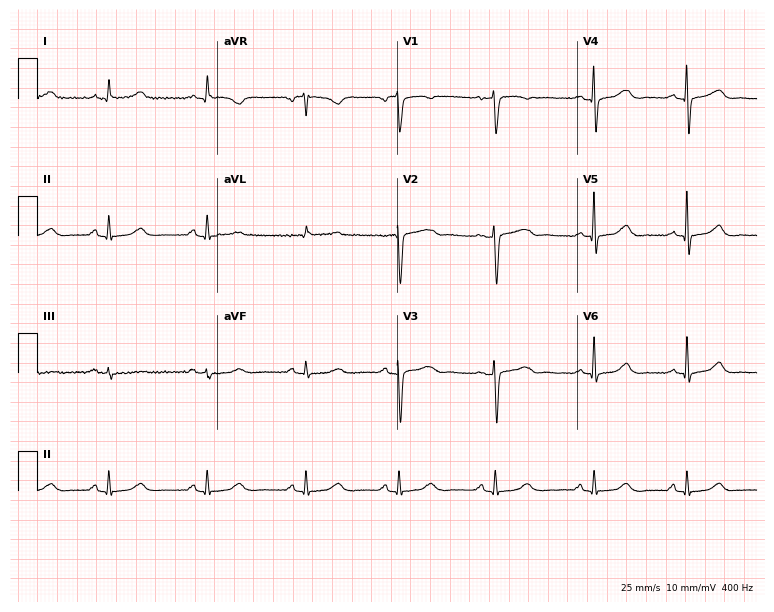
Electrocardiogram (7.3-second recording at 400 Hz), a female patient, 60 years old. Of the six screened findings (first-degree AV block, right bundle branch block, left bundle branch block, sinus bradycardia, atrial fibrillation, sinus tachycardia), none is recorded.